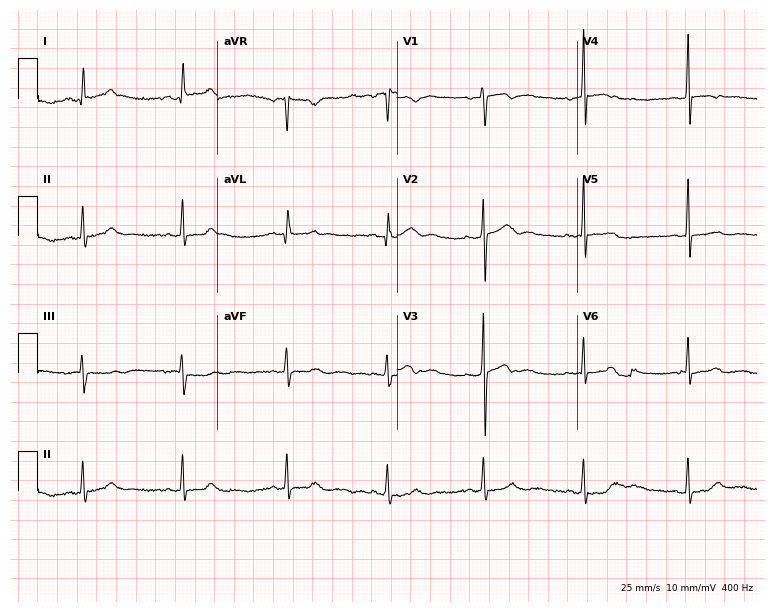
Electrocardiogram (7.3-second recording at 400 Hz), a 40-year-old woman. Overall reading on record: normal ECG.